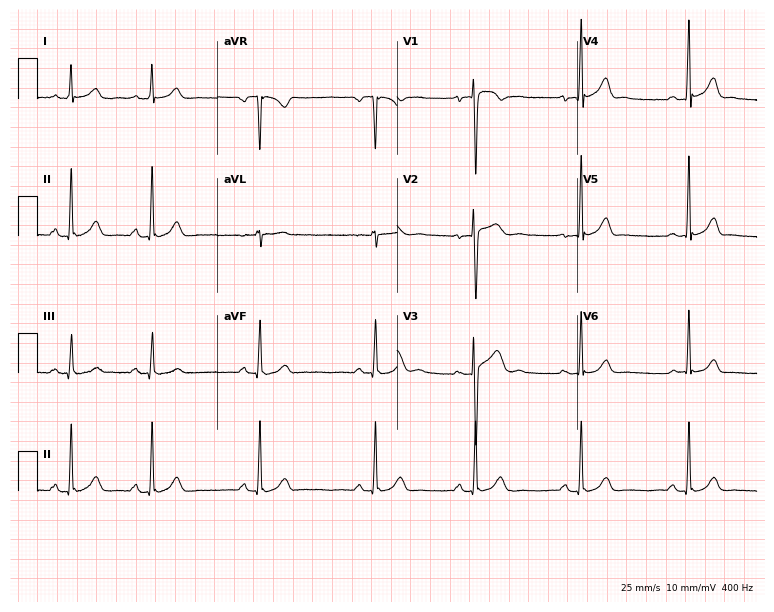
Standard 12-lead ECG recorded from a 17-year-old male patient (7.3-second recording at 400 Hz). None of these six findings is recorded: first-degree AV block, right bundle branch block (RBBB), left bundle branch block (LBBB), sinus bradycardia, atrial fibrillation (AF), sinus tachycardia. Only these six findings were labelled.